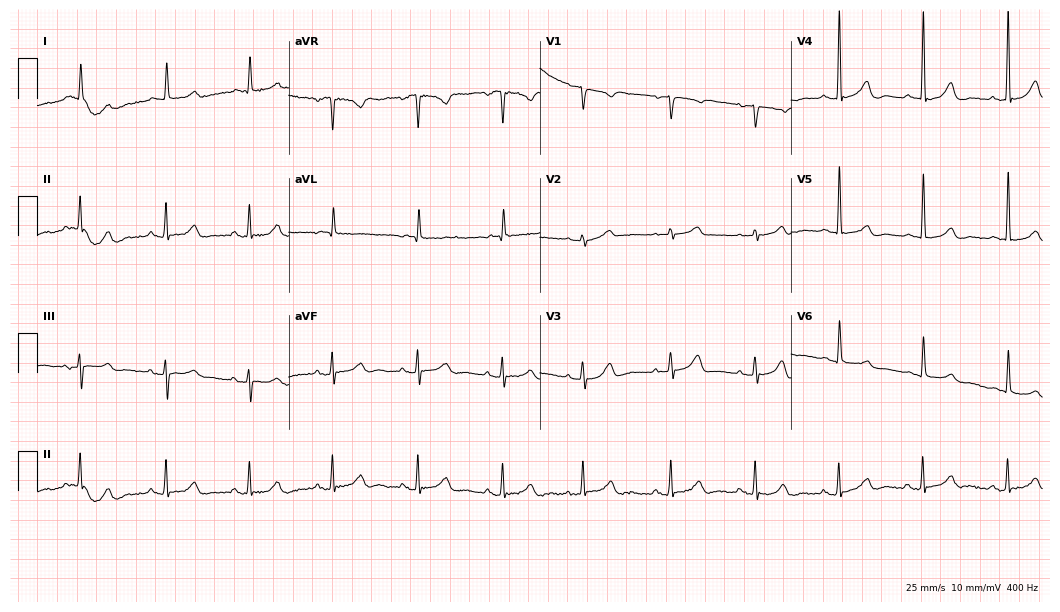
12-lead ECG from an 85-year-old woman. Labelled as a normal ECG.